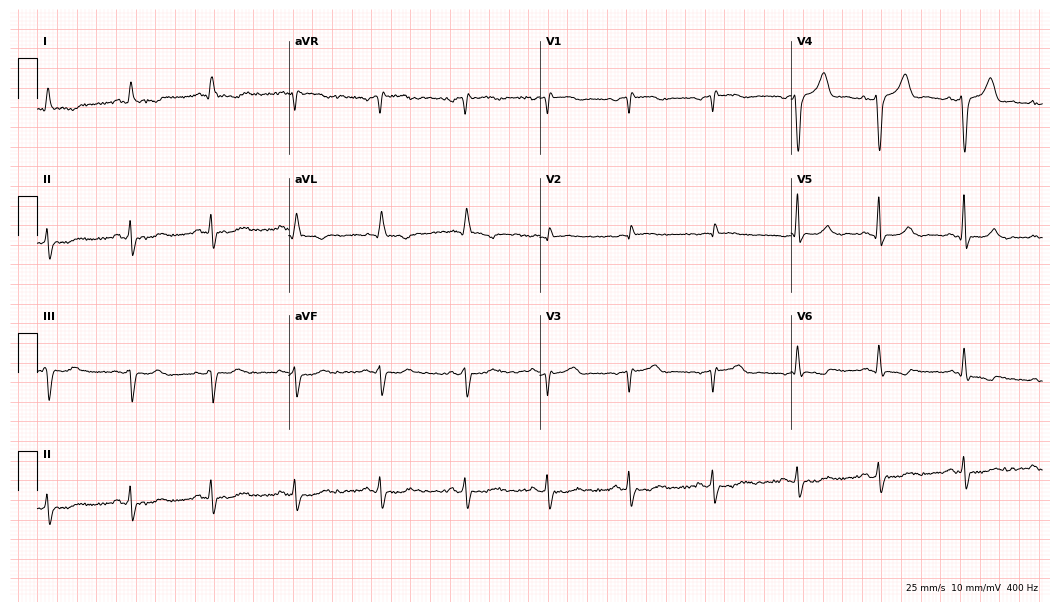
ECG (10.2-second recording at 400 Hz) — an 81-year-old male. Screened for six findings — first-degree AV block, right bundle branch block, left bundle branch block, sinus bradycardia, atrial fibrillation, sinus tachycardia — none is recorded. Findings outside these six are not listed.